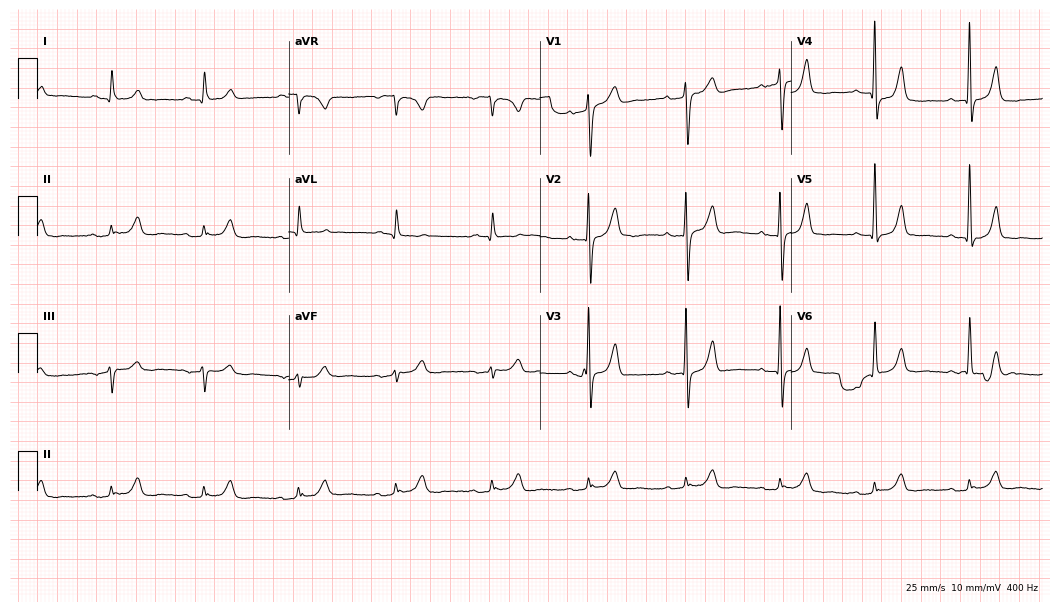
Resting 12-lead electrocardiogram. Patient: a 79-year-old man. Read as a normal ECG.